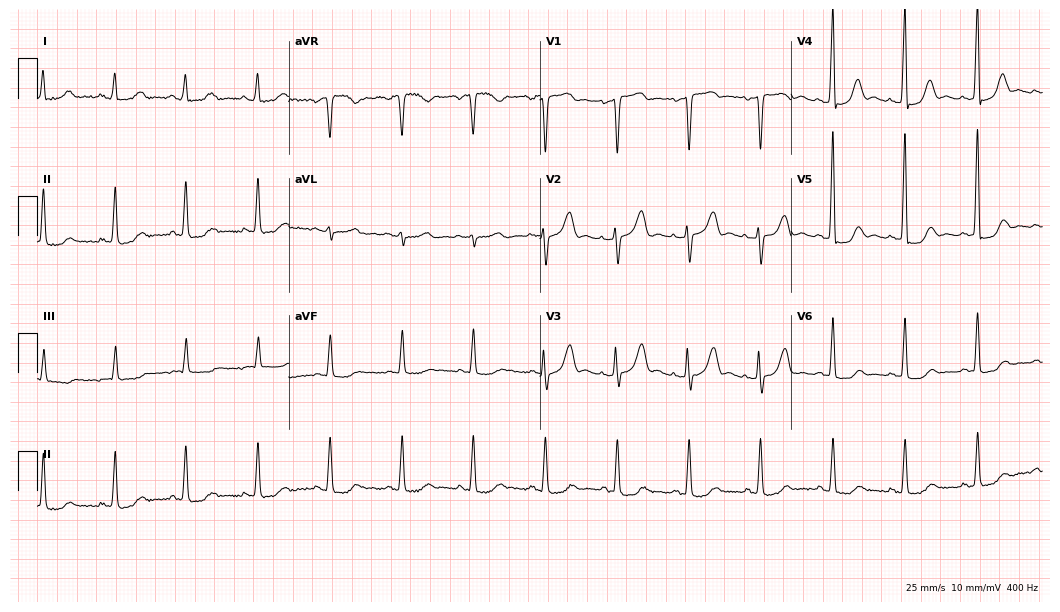
Electrocardiogram (10.2-second recording at 400 Hz), a 71-year-old female patient. Overall reading on record: normal ECG.